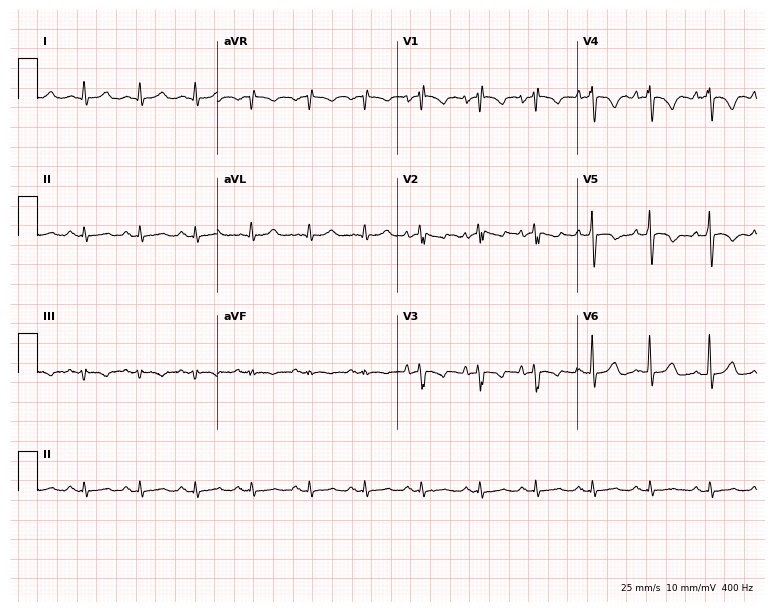
Standard 12-lead ECG recorded from a 78-year-old man (7.3-second recording at 400 Hz). None of these six findings is recorded: first-degree AV block, right bundle branch block (RBBB), left bundle branch block (LBBB), sinus bradycardia, atrial fibrillation (AF), sinus tachycardia.